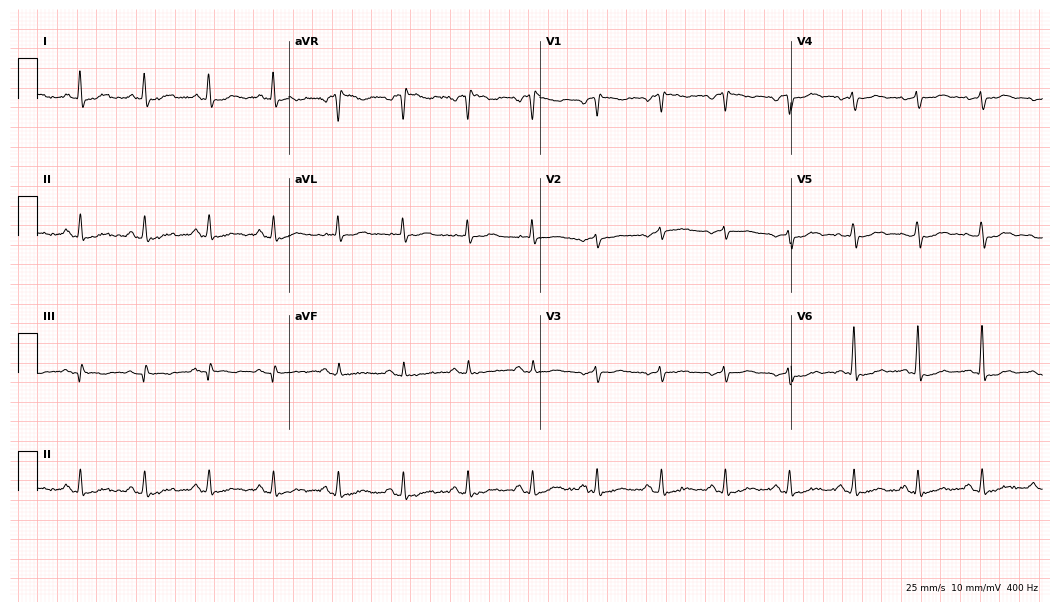
12-lead ECG from a 38-year-old female patient. No first-degree AV block, right bundle branch block (RBBB), left bundle branch block (LBBB), sinus bradycardia, atrial fibrillation (AF) or sinus tachycardia recorded for this tracing.